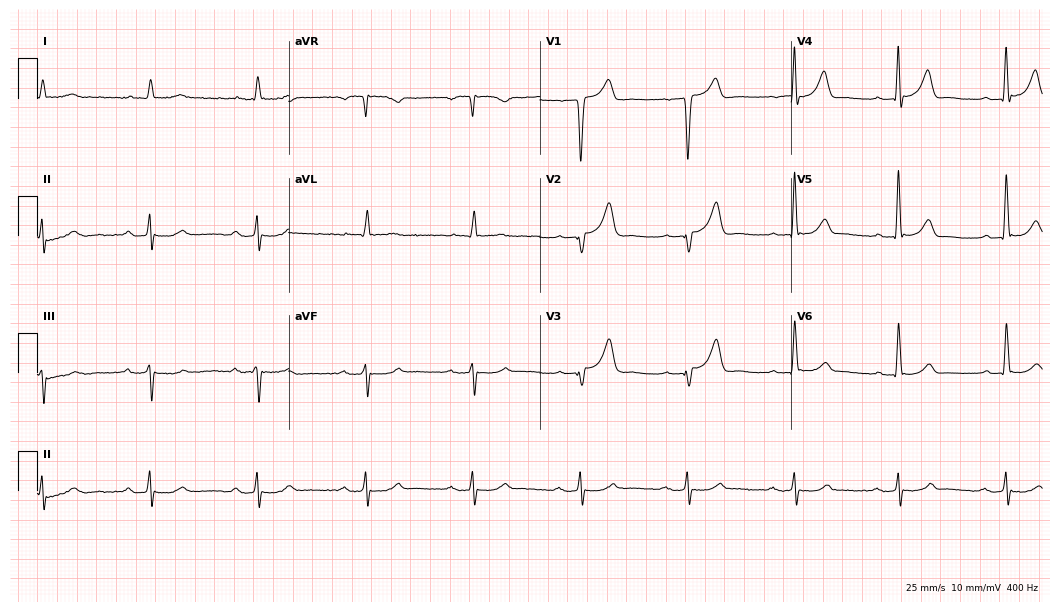
12-lead ECG from a male patient, 73 years old (10.2-second recording at 400 Hz). Shows first-degree AV block.